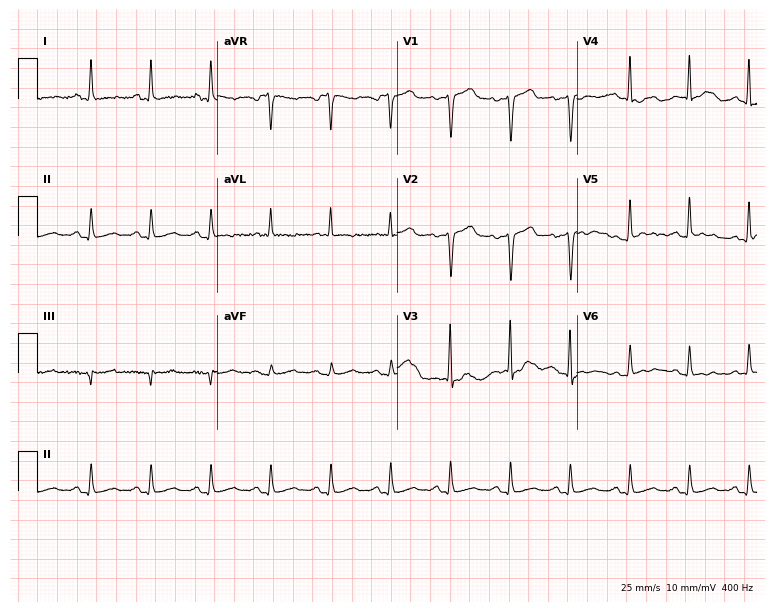
Resting 12-lead electrocardiogram (7.3-second recording at 400 Hz). Patient: a male, 62 years old. None of these six findings is recorded: first-degree AV block, right bundle branch block, left bundle branch block, sinus bradycardia, atrial fibrillation, sinus tachycardia. Other findings, if any, are not listed.